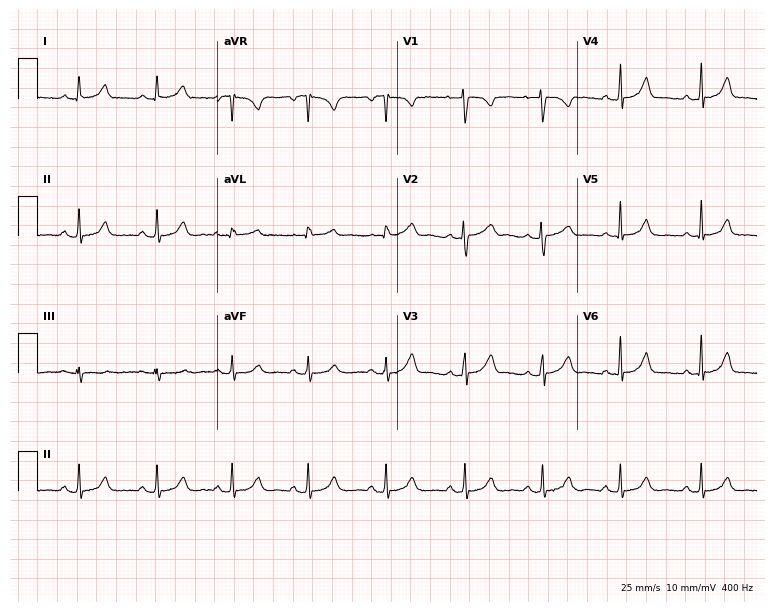
12-lead ECG from a female, 41 years old. Recorded interpretation: within normal limits.